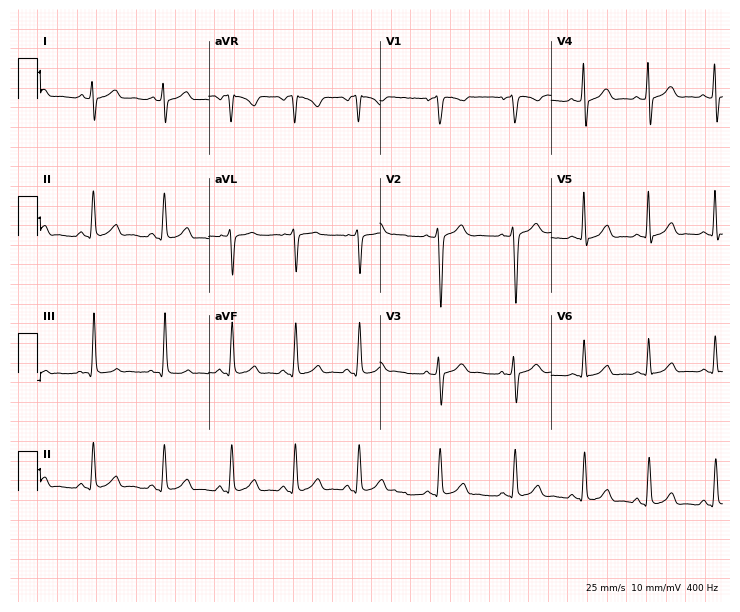
12-lead ECG from an 18-year-old male patient (7-second recording at 400 Hz). Recorded interpretation: within normal limits.